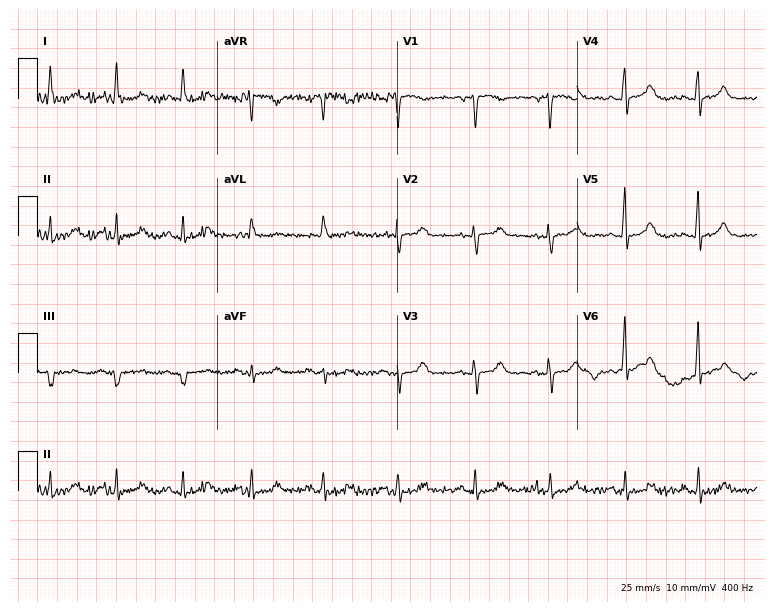
12-lead ECG (7.3-second recording at 400 Hz) from a female, 79 years old. Screened for six findings — first-degree AV block, right bundle branch block, left bundle branch block, sinus bradycardia, atrial fibrillation, sinus tachycardia — none is recorded. Other findings, if any, are not listed.